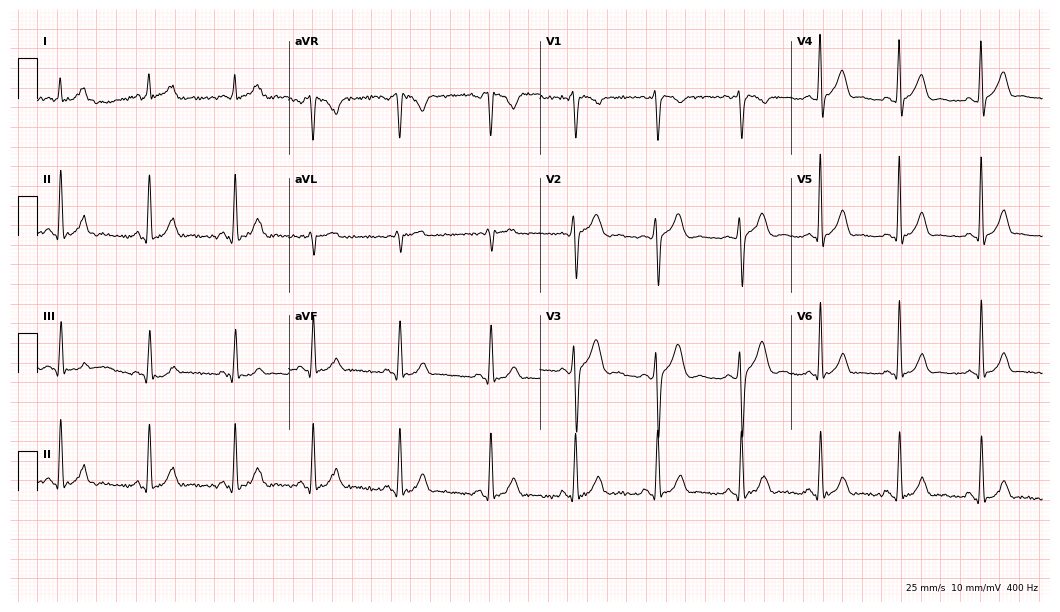
12-lead ECG from a male patient, 26 years old (10.2-second recording at 400 Hz). Recorded interpretation: within normal limits.